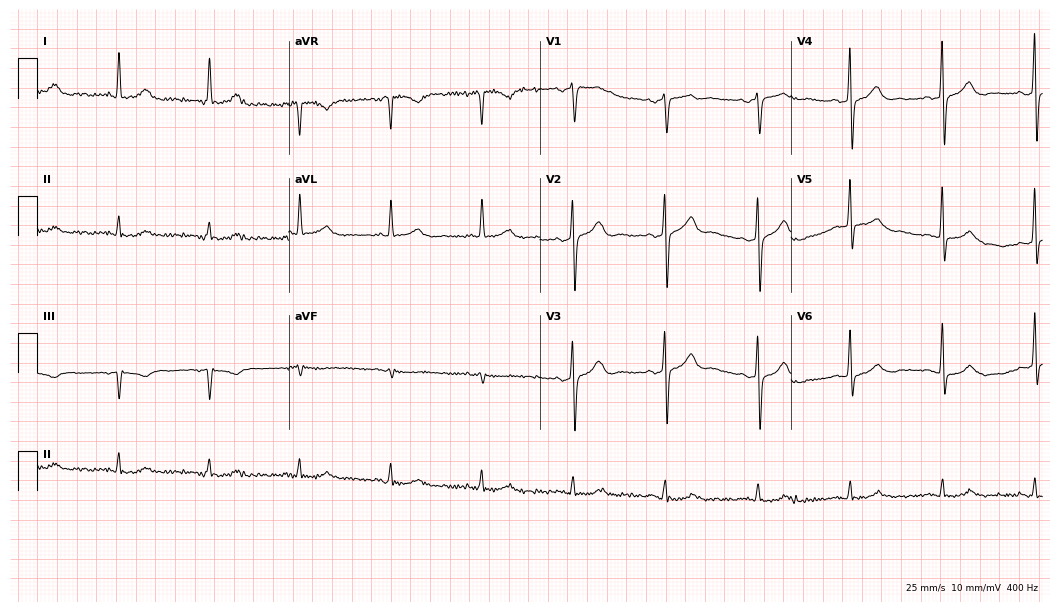
12-lead ECG from a male, 81 years old. Screened for six findings — first-degree AV block, right bundle branch block, left bundle branch block, sinus bradycardia, atrial fibrillation, sinus tachycardia — none is recorded. Findings outside these six are not listed.